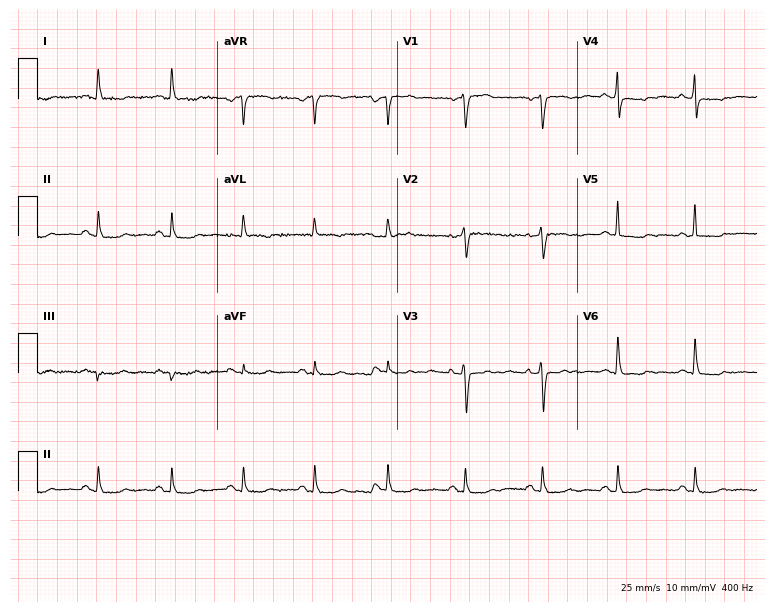
12-lead ECG from a female patient, 54 years old (7.3-second recording at 400 Hz). No first-degree AV block, right bundle branch block, left bundle branch block, sinus bradycardia, atrial fibrillation or sinus tachycardia recorded for this tracing.